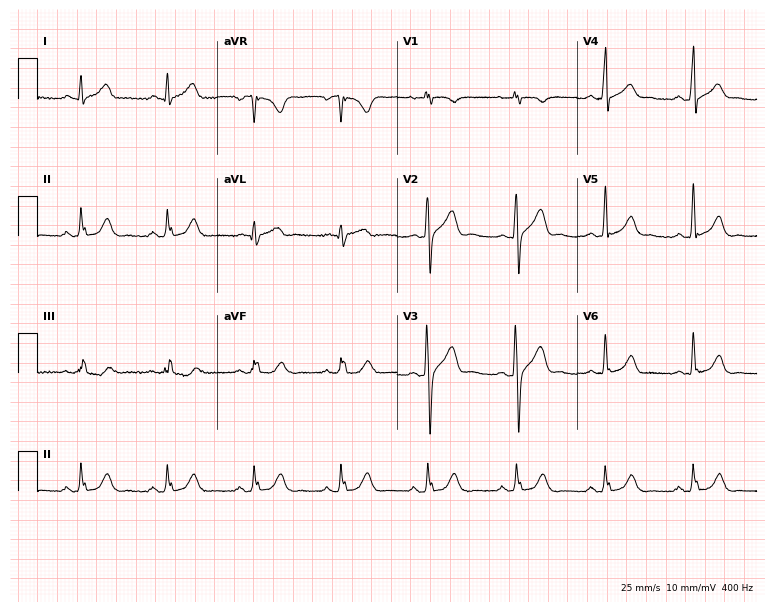
ECG (7.3-second recording at 400 Hz) — a 54-year-old male patient. Labelled as a normal ECG.